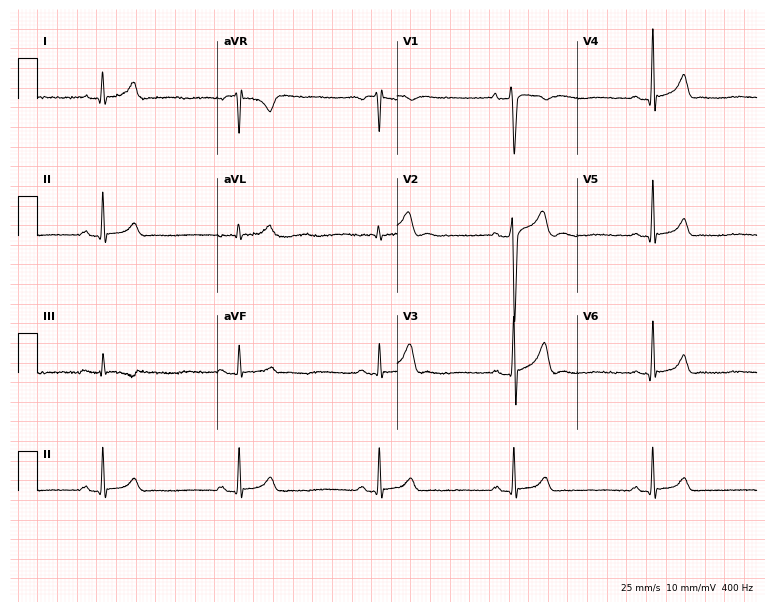
12-lead ECG from a man, 21 years old (7.3-second recording at 400 Hz). Shows sinus bradycardia (a sinus rate of 50 beats per minute or less).